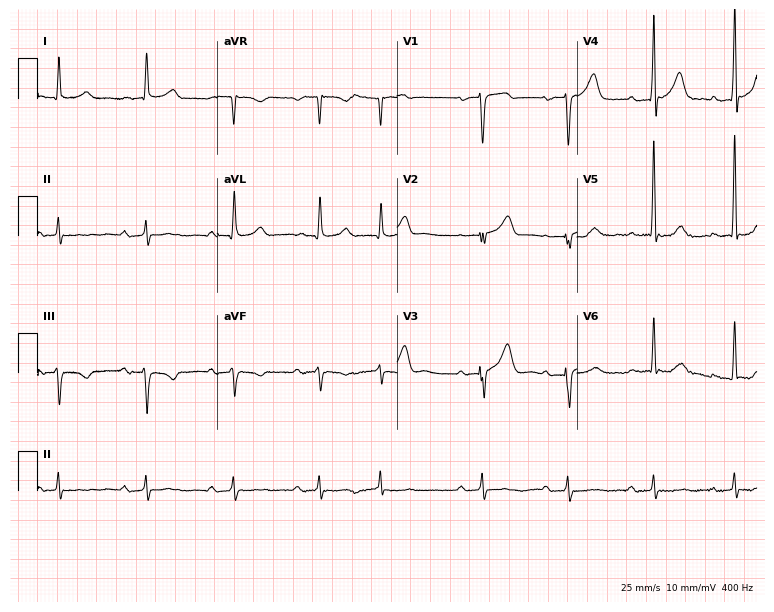
ECG — a male patient, 83 years old. Findings include first-degree AV block.